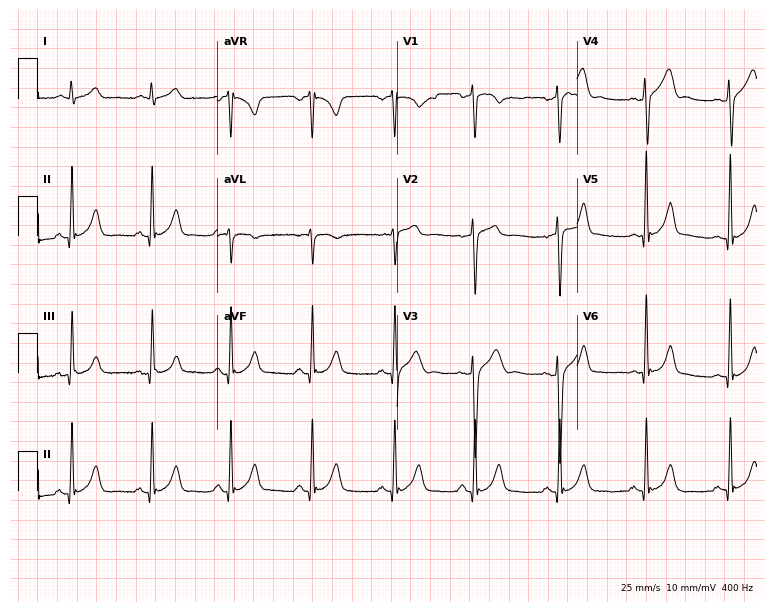
12-lead ECG from a 41-year-old male patient (7.3-second recording at 400 Hz). Recorded interpretation: within normal limits.